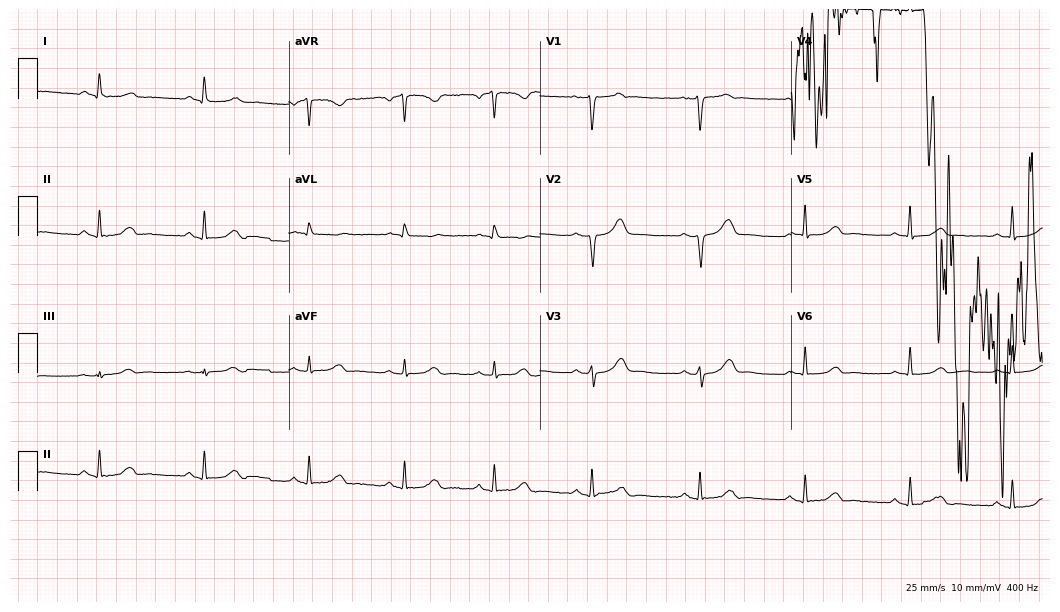
ECG — a female, 46 years old. Screened for six findings — first-degree AV block, right bundle branch block, left bundle branch block, sinus bradycardia, atrial fibrillation, sinus tachycardia — none is recorded. Other findings, if any, are not listed.